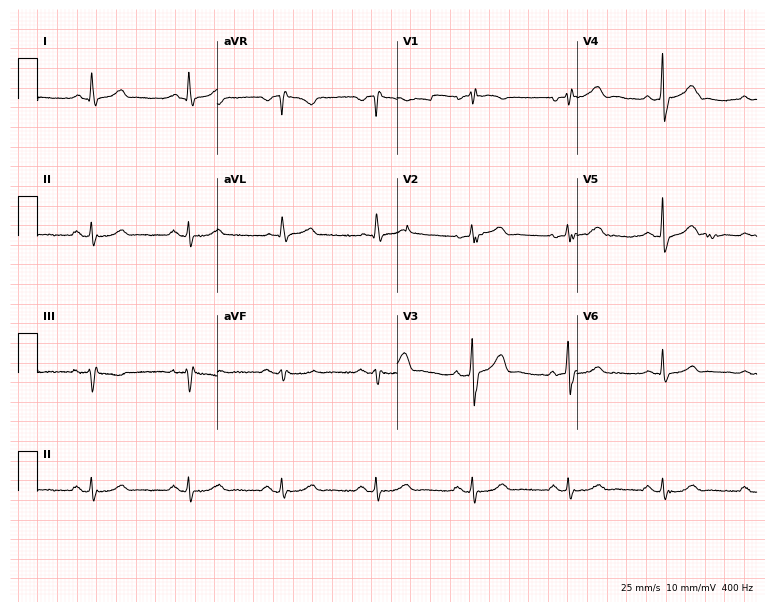
Standard 12-lead ECG recorded from a female, 70 years old (7.3-second recording at 400 Hz). None of these six findings is recorded: first-degree AV block, right bundle branch block, left bundle branch block, sinus bradycardia, atrial fibrillation, sinus tachycardia. Only these six findings were labelled.